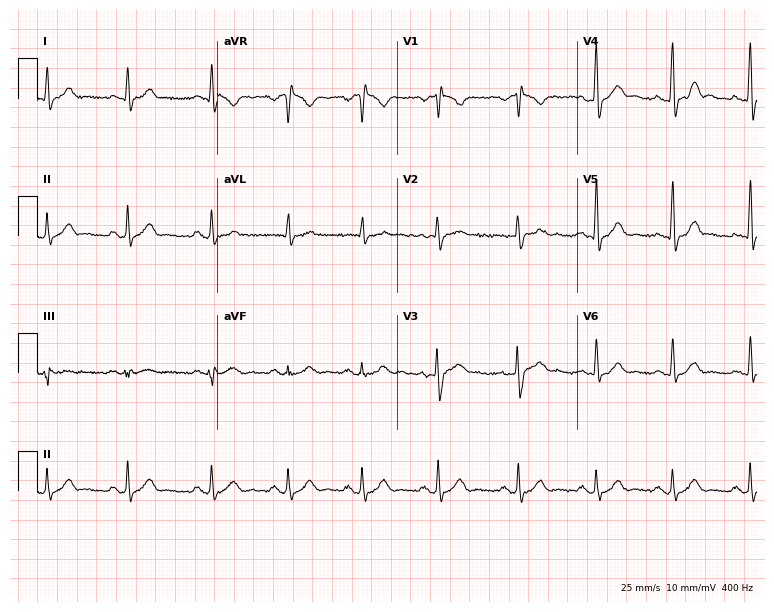
Standard 12-lead ECG recorded from a male, 38 years old. None of these six findings is recorded: first-degree AV block, right bundle branch block (RBBB), left bundle branch block (LBBB), sinus bradycardia, atrial fibrillation (AF), sinus tachycardia.